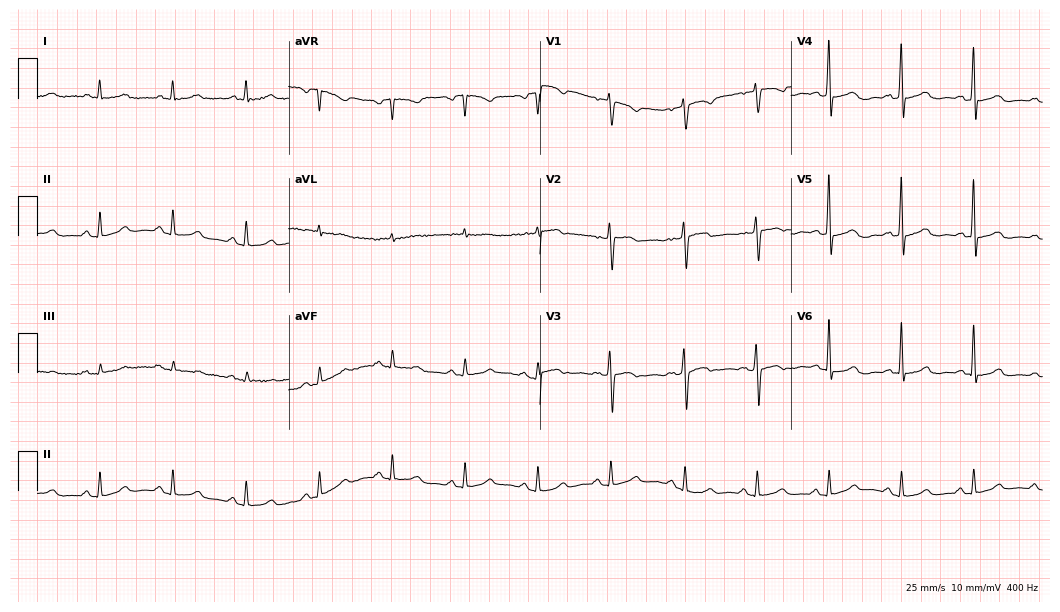
ECG — a 55-year-old woman. Labelled as a normal ECG.